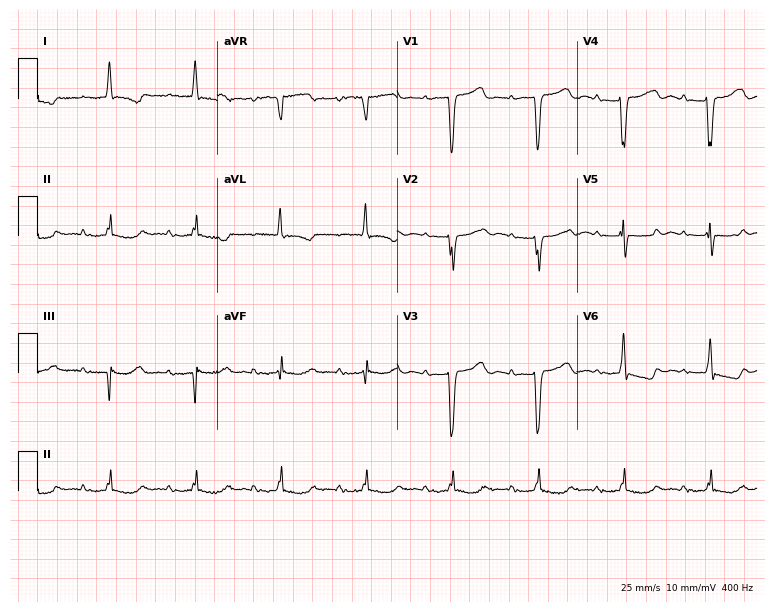
ECG — a woman, 90 years old or older. Findings include first-degree AV block.